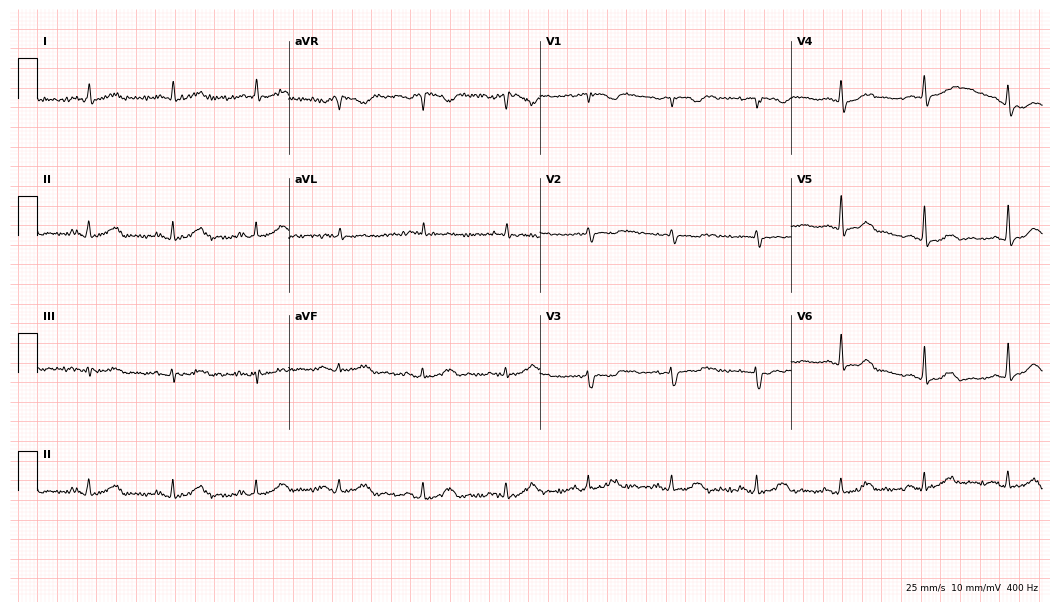
12-lead ECG from a male patient, 78 years old. No first-degree AV block, right bundle branch block, left bundle branch block, sinus bradycardia, atrial fibrillation or sinus tachycardia recorded for this tracing. Other findings, if any, are not listed.